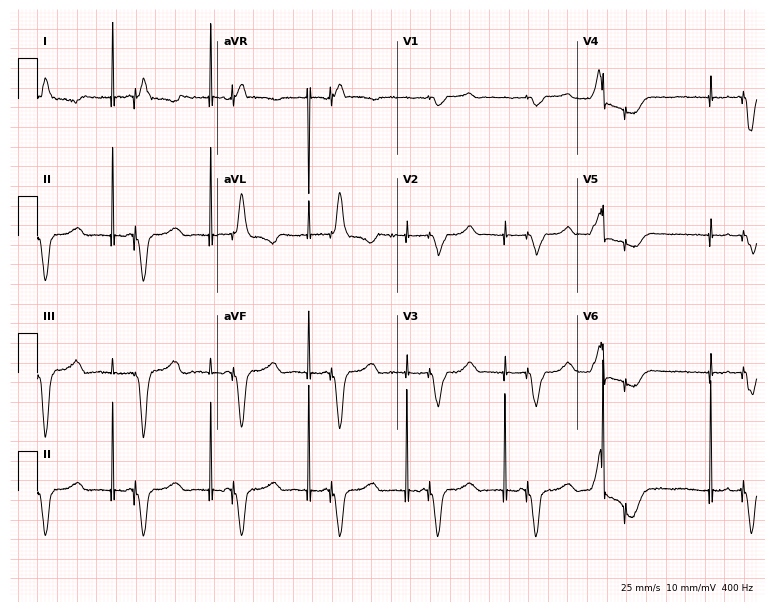
12-lead ECG from a 57-year-old female patient (7.3-second recording at 400 Hz). No first-degree AV block, right bundle branch block (RBBB), left bundle branch block (LBBB), sinus bradycardia, atrial fibrillation (AF) or sinus tachycardia recorded for this tracing.